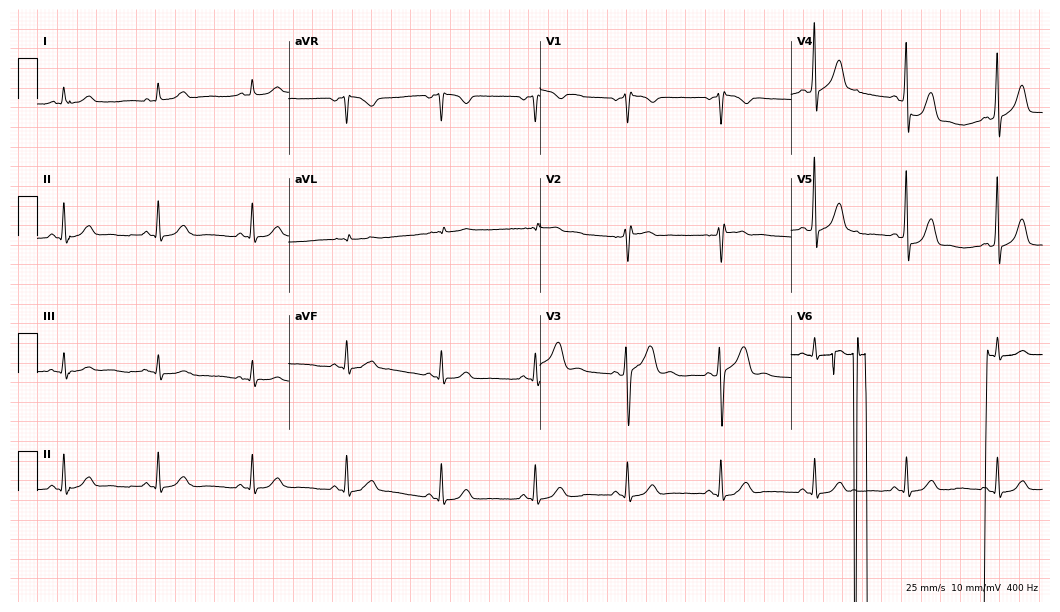
Standard 12-lead ECG recorded from a 59-year-old male patient. None of these six findings is recorded: first-degree AV block, right bundle branch block, left bundle branch block, sinus bradycardia, atrial fibrillation, sinus tachycardia.